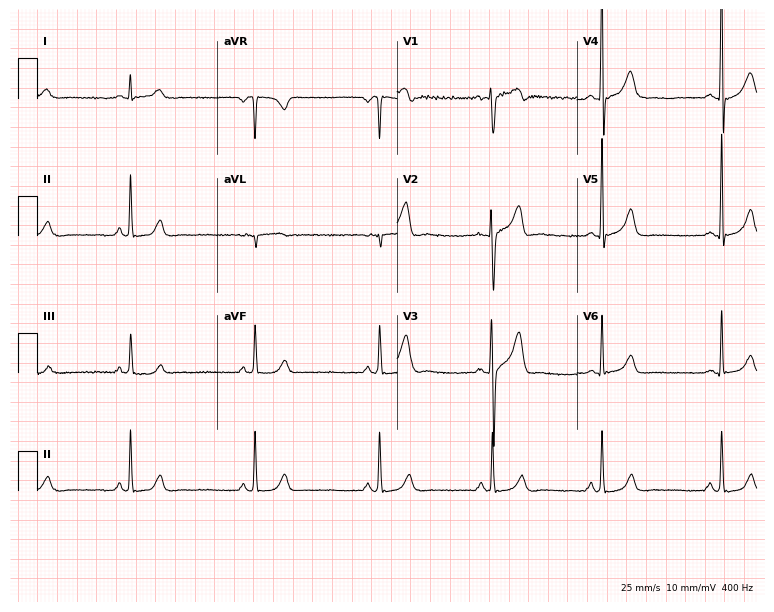
12-lead ECG from a man, 31 years old (7.3-second recording at 400 Hz). Recorded interpretation: within normal limits.